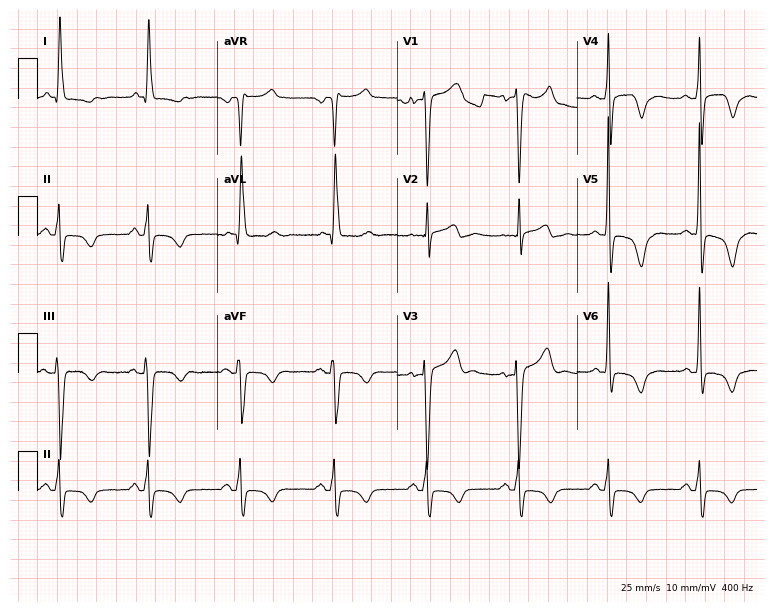
12-lead ECG from a 74-year-old female patient (7.3-second recording at 400 Hz). No first-degree AV block, right bundle branch block, left bundle branch block, sinus bradycardia, atrial fibrillation or sinus tachycardia recorded for this tracing.